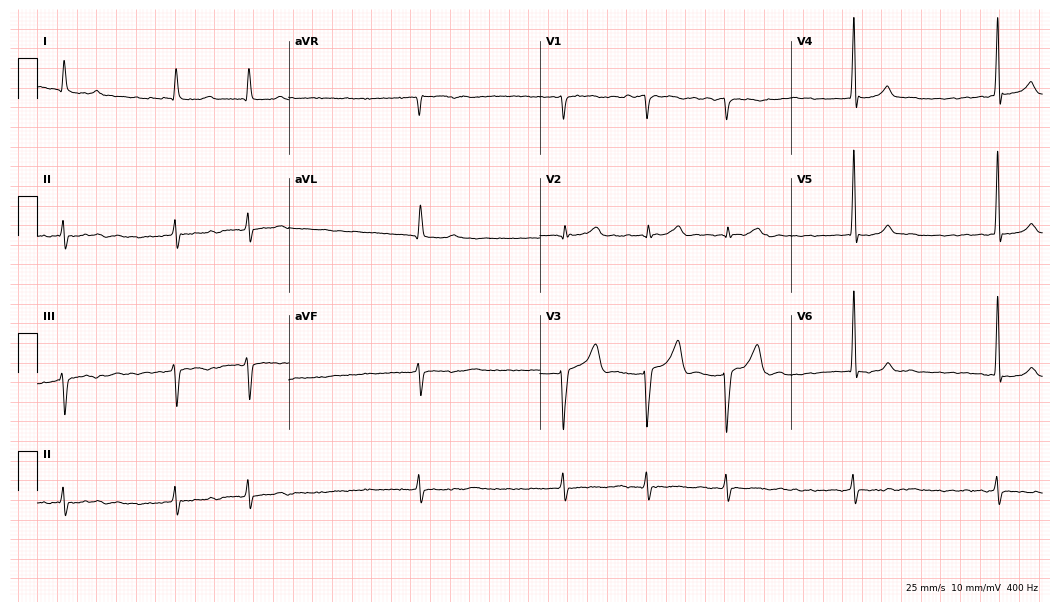
12-lead ECG (10.2-second recording at 400 Hz) from an 84-year-old man. Findings include atrial fibrillation.